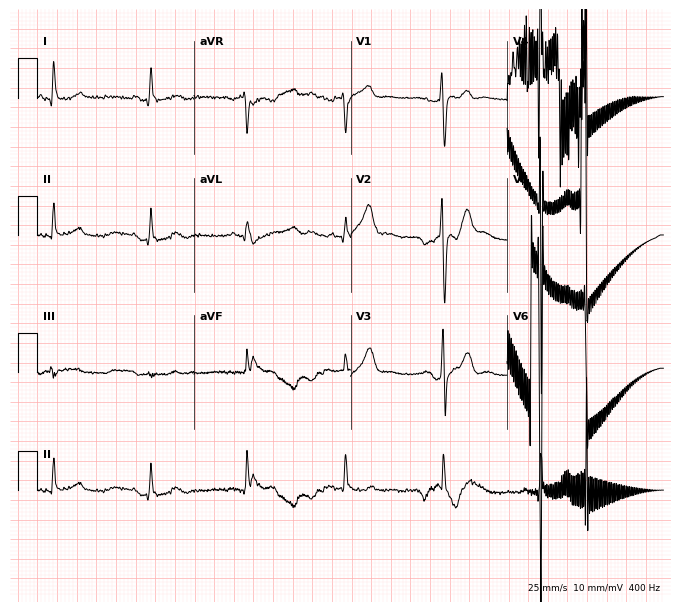
Electrocardiogram (6.4-second recording at 400 Hz), a man, 50 years old. Of the six screened findings (first-degree AV block, right bundle branch block, left bundle branch block, sinus bradycardia, atrial fibrillation, sinus tachycardia), none is recorded. Other findings, if any, are not listed.